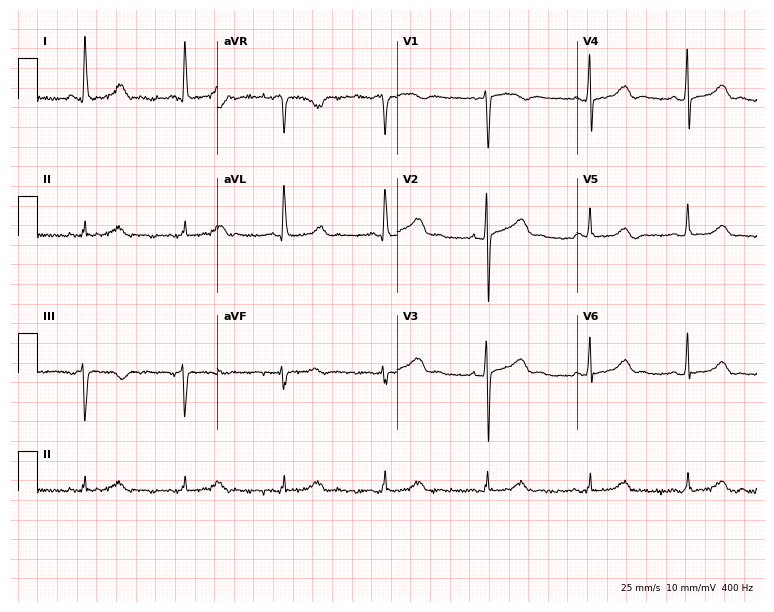
Resting 12-lead electrocardiogram. Patient: a 61-year-old woman. Read as a normal ECG.